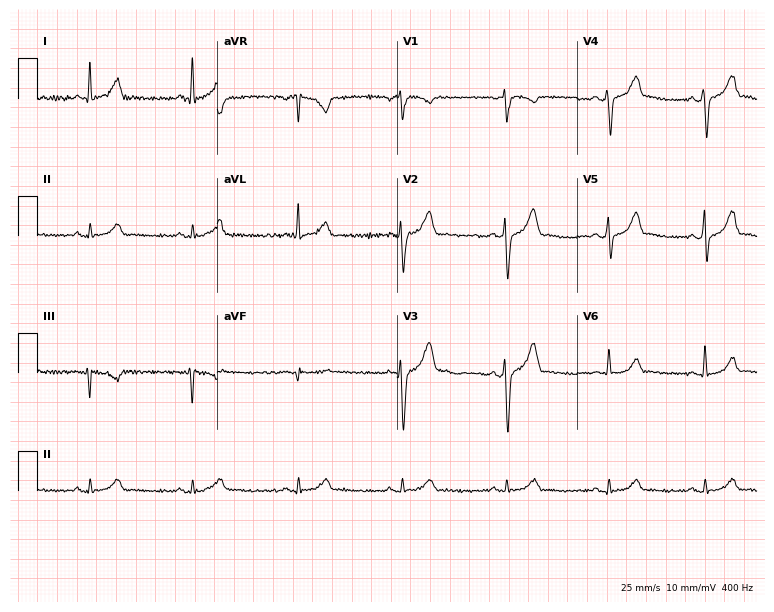
Standard 12-lead ECG recorded from a 47-year-old man. Read as a normal ECG.